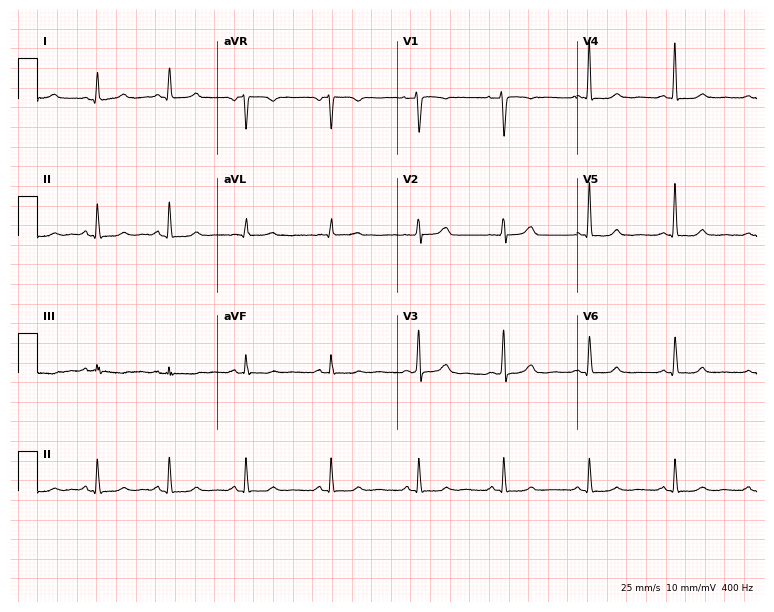
Standard 12-lead ECG recorded from a 46-year-old woman (7.3-second recording at 400 Hz). Read as a normal ECG.